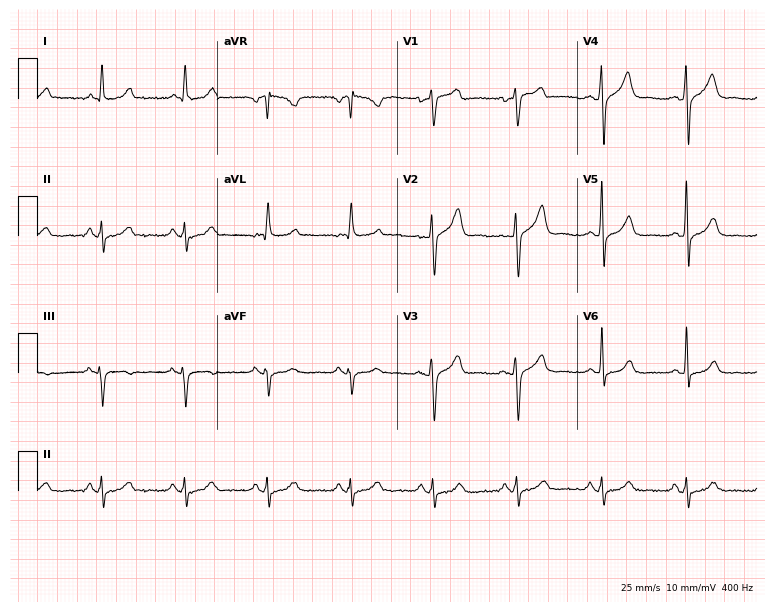
Resting 12-lead electrocardiogram (7.3-second recording at 400 Hz). Patient: a 49-year-old male. None of these six findings is recorded: first-degree AV block, right bundle branch block, left bundle branch block, sinus bradycardia, atrial fibrillation, sinus tachycardia.